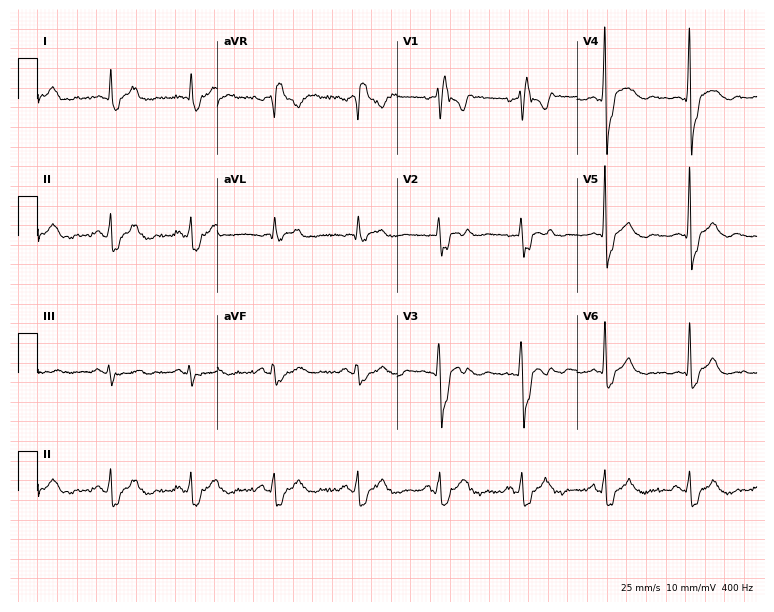
ECG (7.3-second recording at 400 Hz) — a male patient, 50 years old. Findings include right bundle branch block.